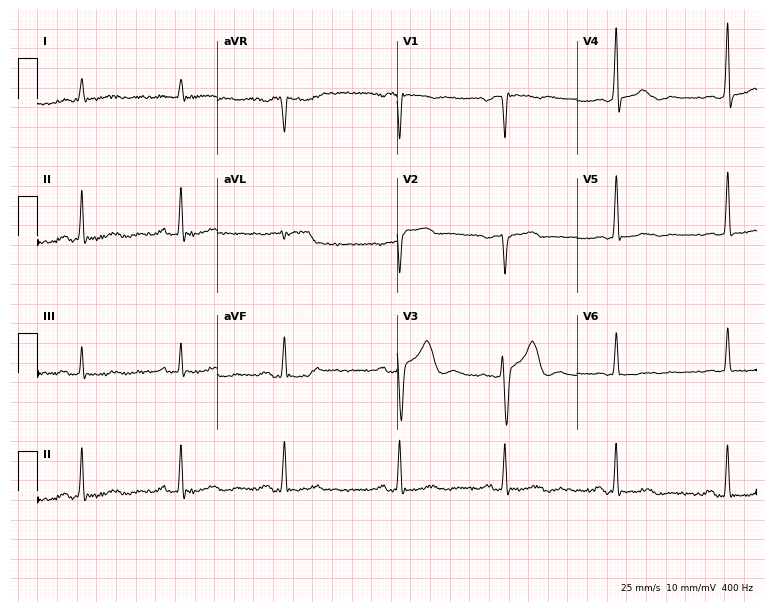
12-lead ECG from a man, 84 years old (7.3-second recording at 400 Hz). No first-degree AV block, right bundle branch block, left bundle branch block, sinus bradycardia, atrial fibrillation or sinus tachycardia recorded for this tracing.